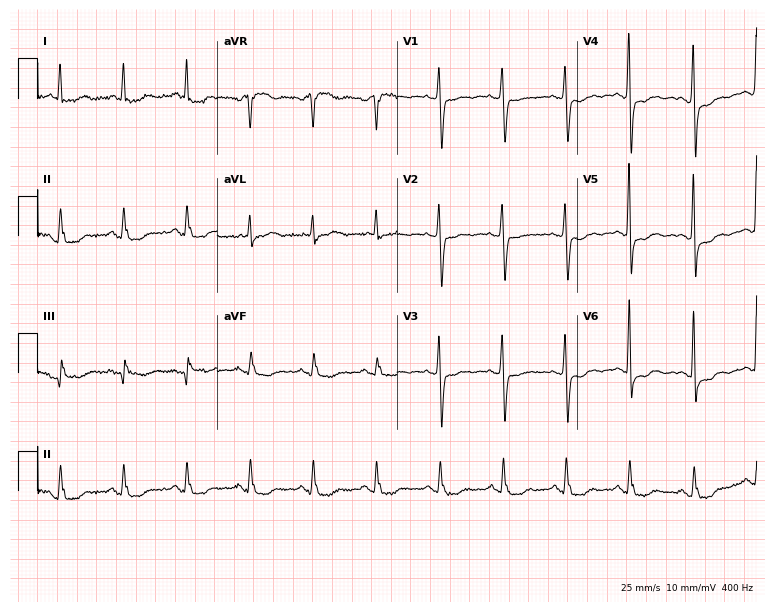
Resting 12-lead electrocardiogram (7.3-second recording at 400 Hz). Patient: a female, 84 years old. None of these six findings is recorded: first-degree AV block, right bundle branch block (RBBB), left bundle branch block (LBBB), sinus bradycardia, atrial fibrillation (AF), sinus tachycardia.